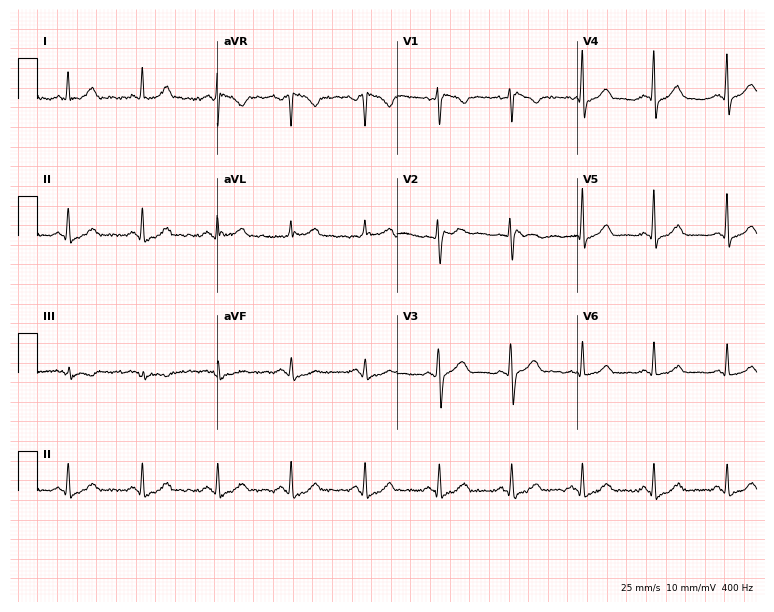
12-lead ECG from a 34-year-old female patient. No first-degree AV block, right bundle branch block, left bundle branch block, sinus bradycardia, atrial fibrillation or sinus tachycardia recorded for this tracing.